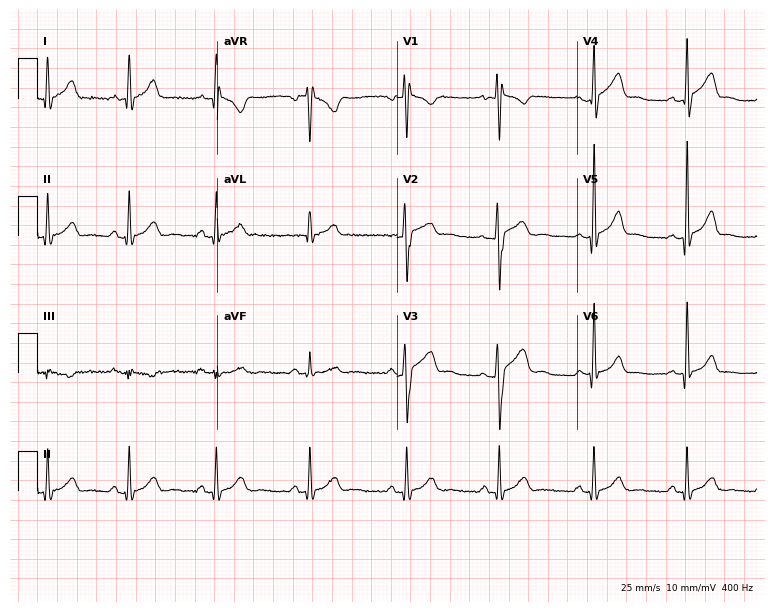
12-lead ECG (7.3-second recording at 400 Hz) from a 28-year-old man. Labelled as a normal ECG.